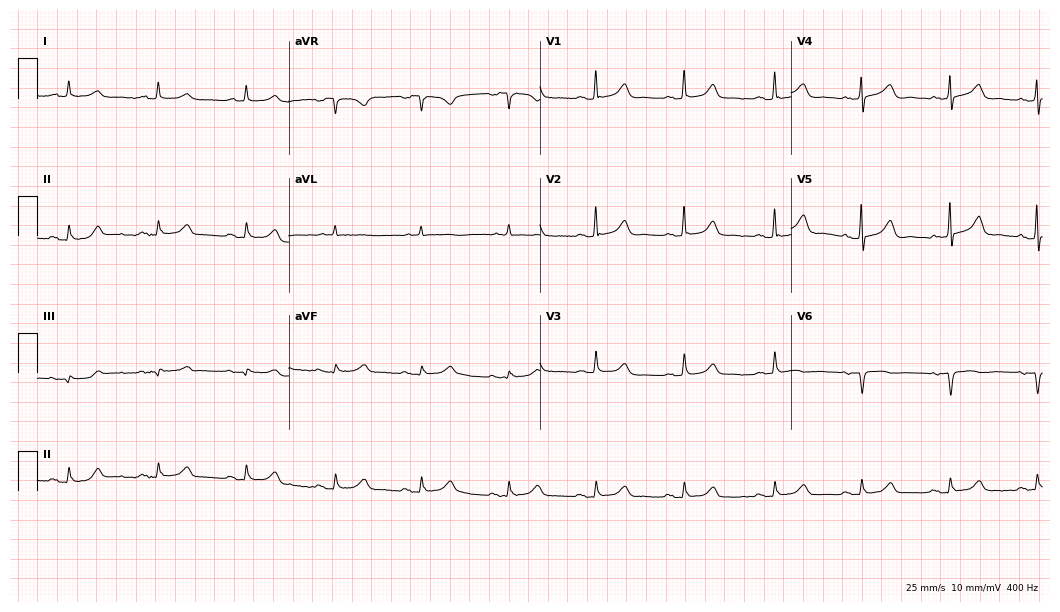
Electrocardiogram, a female patient, 76 years old. Of the six screened findings (first-degree AV block, right bundle branch block (RBBB), left bundle branch block (LBBB), sinus bradycardia, atrial fibrillation (AF), sinus tachycardia), none is recorded.